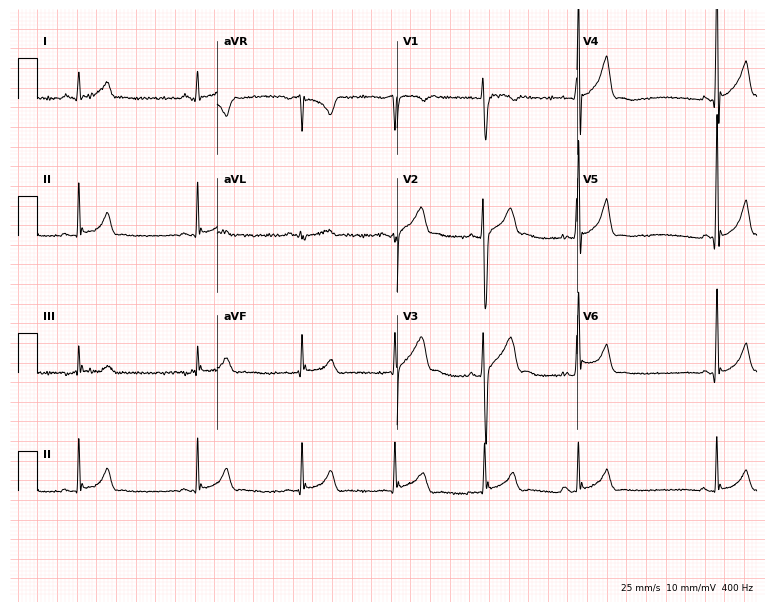
ECG (7.3-second recording at 400 Hz) — a male, 17 years old. Labelled as a normal ECG.